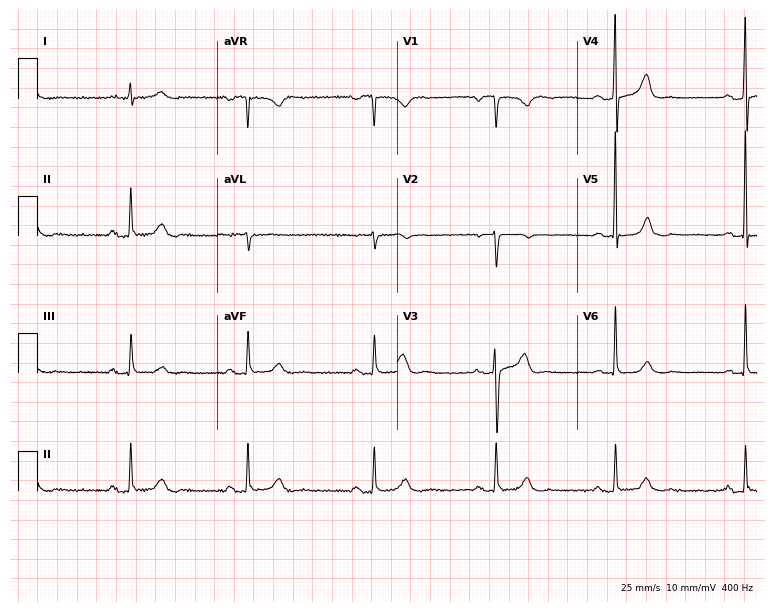
Resting 12-lead electrocardiogram (7.3-second recording at 400 Hz). Patient: a 61-year-old female. The tracing shows sinus bradycardia (a sinus rate of 50 beats per minute or less).